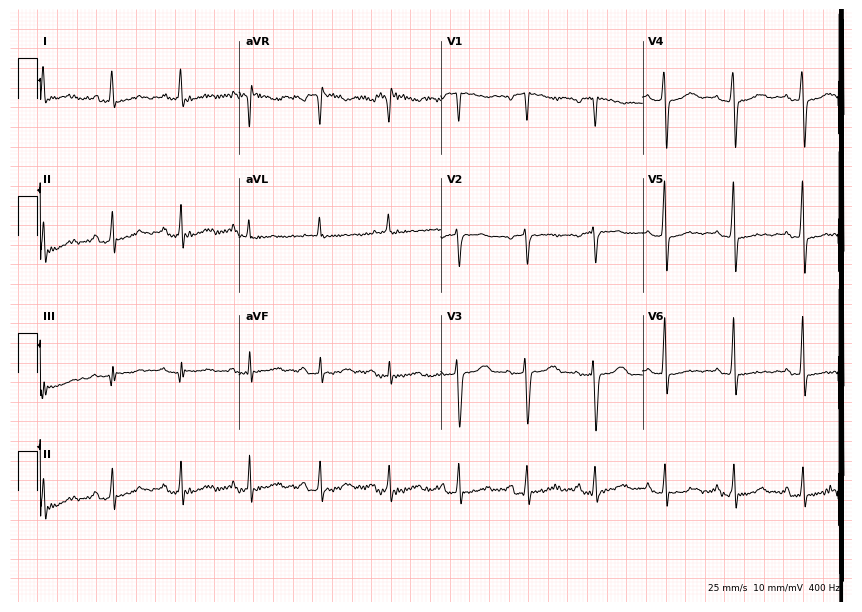
Electrocardiogram, a 57-year-old female. Of the six screened findings (first-degree AV block, right bundle branch block, left bundle branch block, sinus bradycardia, atrial fibrillation, sinus tachycardia), none is recorded. Only these six findings were labelled.